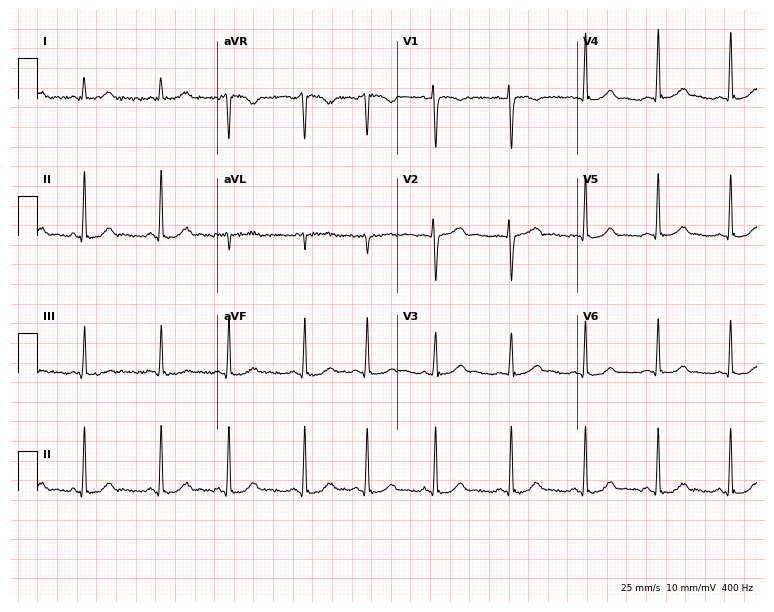
Electrocardiogram (7.3-second recording at 400 Hz), a 27-year-old woman. Overall reading on record: normal ECG.